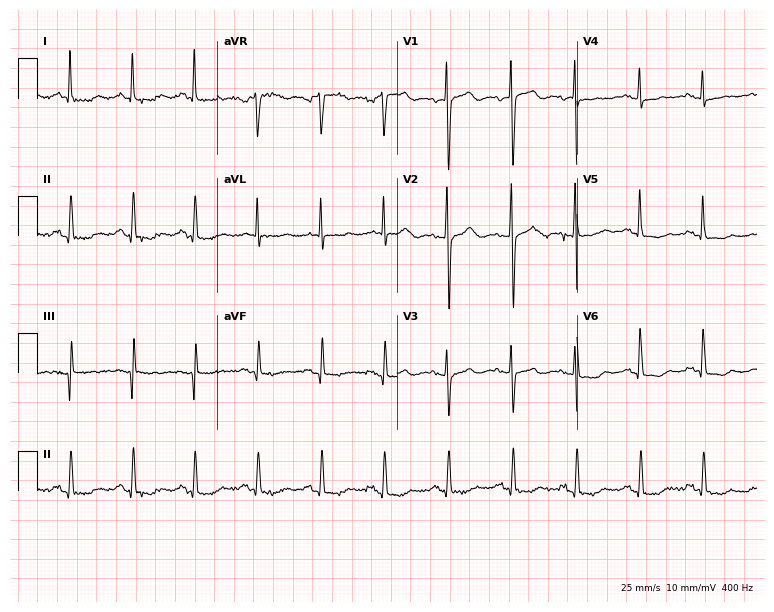
12-lead ECG (7.3-second recording at 400 Hz) from a 76-year-old female patient. Screened for six findings — first-degree AV block, right bundle branch block, left bundle branch block, sinus bradycardia, atrial fibrillation, sinus tachycardia — none is recorded.